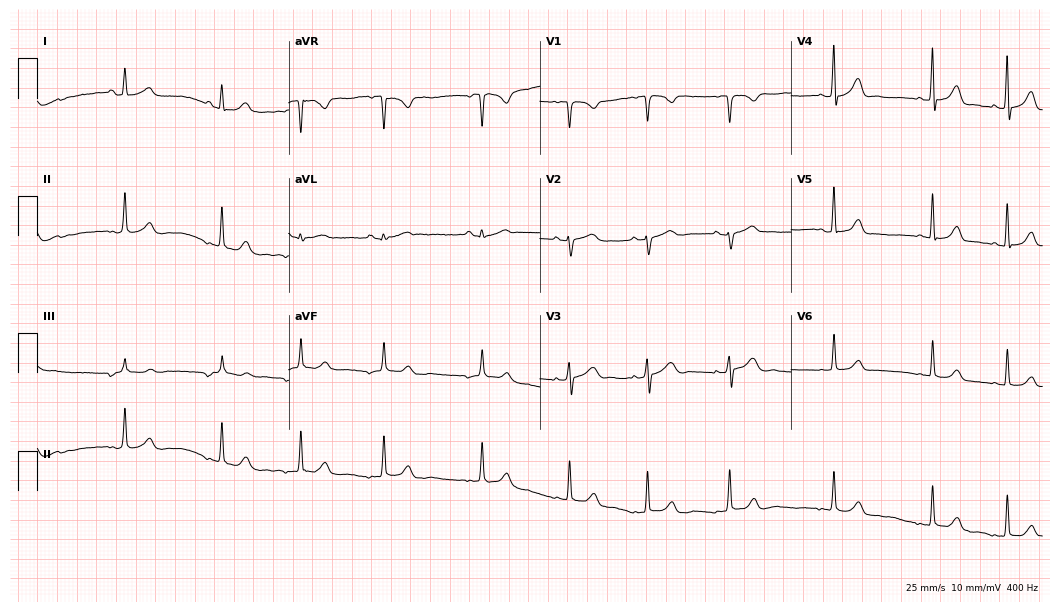
ECG — a woman, 17 years old. Labelled as a normal ECG.